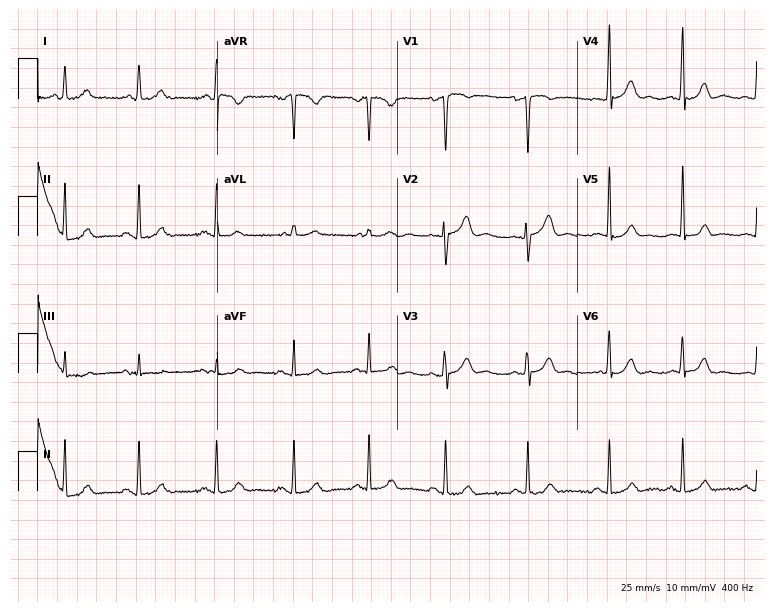
Standard 12-lead ECG recorded from a woman, 45 years old. Read as a normal ECG.